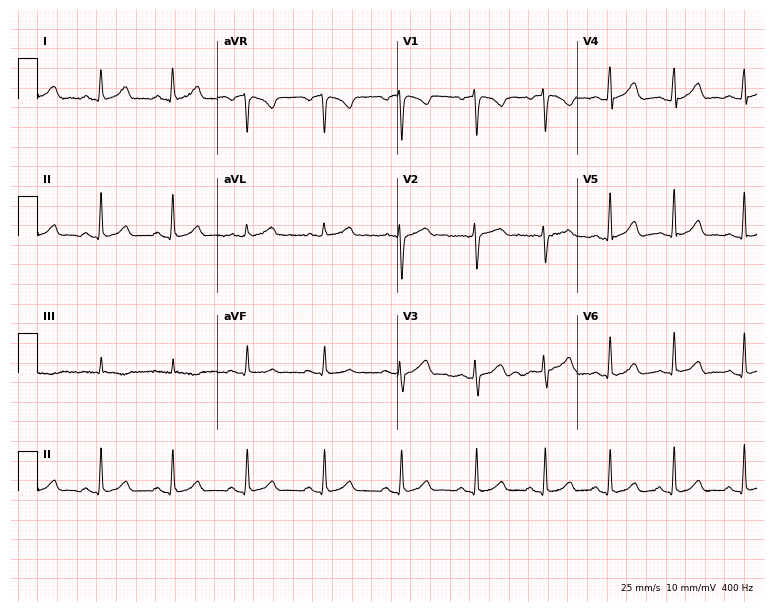
12-lead ECG from a woman, 22 years old (7.3-second recording at 400 Hz). Recorded interpretation: within normal limits.